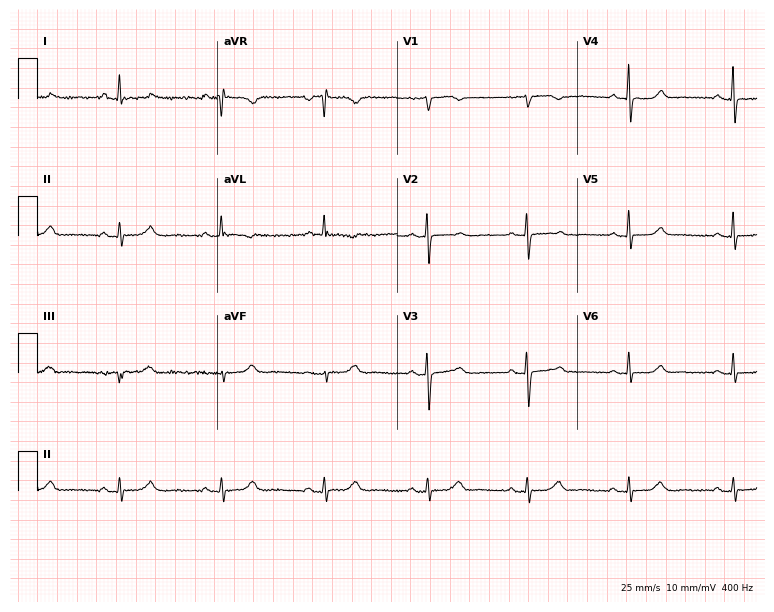
Electrocardiogram, a 67-year-old female patient. Overall reading on record: normal ECG.